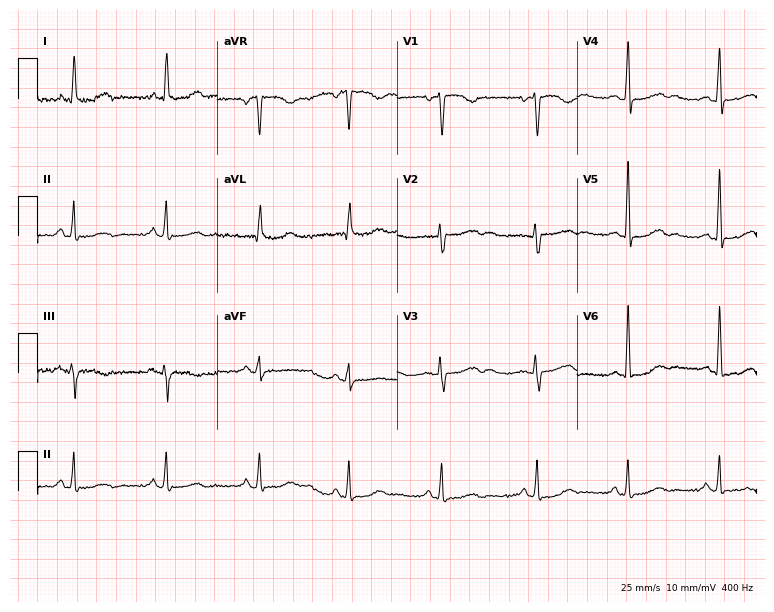
12-lead ECG from a woman, 48 years old (7.3-second recording at 400 Hz). No first-degree AV block, right bundle branch block (RBBB), left bundle branch block (LBBB), sinus bradycardia, atrial fibrillation (AF) or sinus tachycardia recorded for this tracing. Only these six findings were labelled.